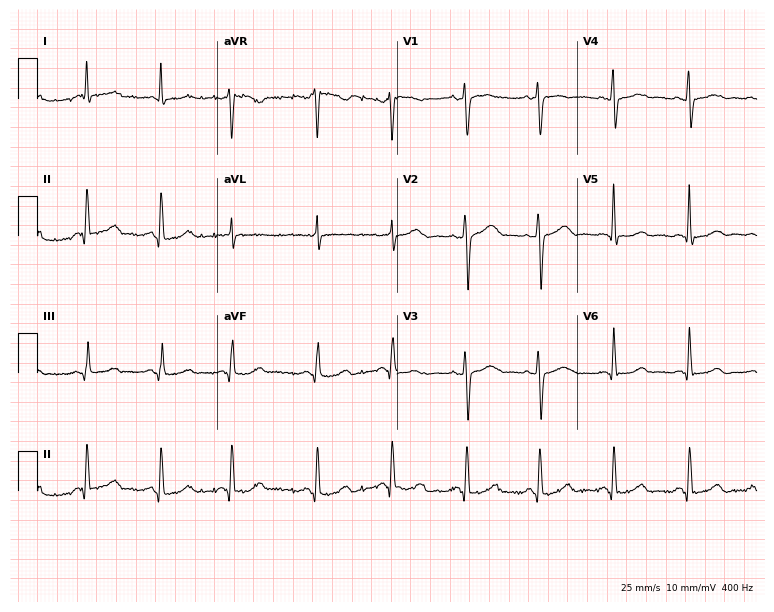
Electrocardiogram (7.3-second recording at 400 Hz), a female patient, 47 years old. Overall reading on record: normal ECG.